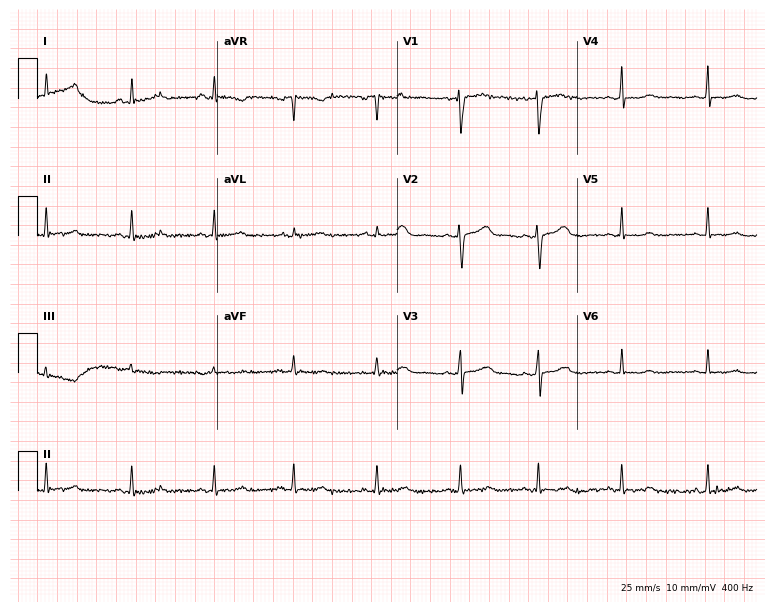
12-lead ECG from a 37-year-old female (7.3-second recording at 400 Hz). Recorded interpretation: within normal limits.